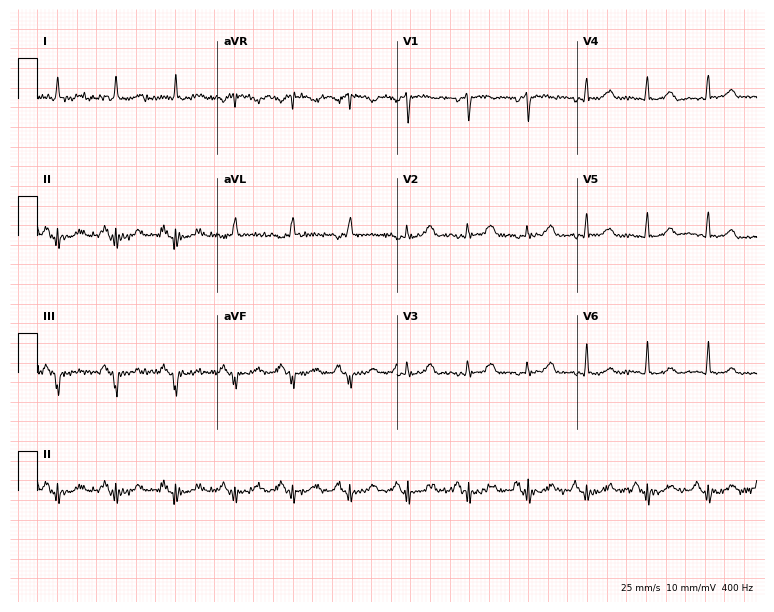
Electrocardiogram (7.3-second recording at 400 Hz), a 56-year-old man. Of the six screened findings (first-degree AV block, right bundle branch block (RBBB), left bundle branch block (LBBB), sinus bradycardia, atrial fibrillation (AF), sinus tachycardia), none is recorded. Findings outside these six are not listed.